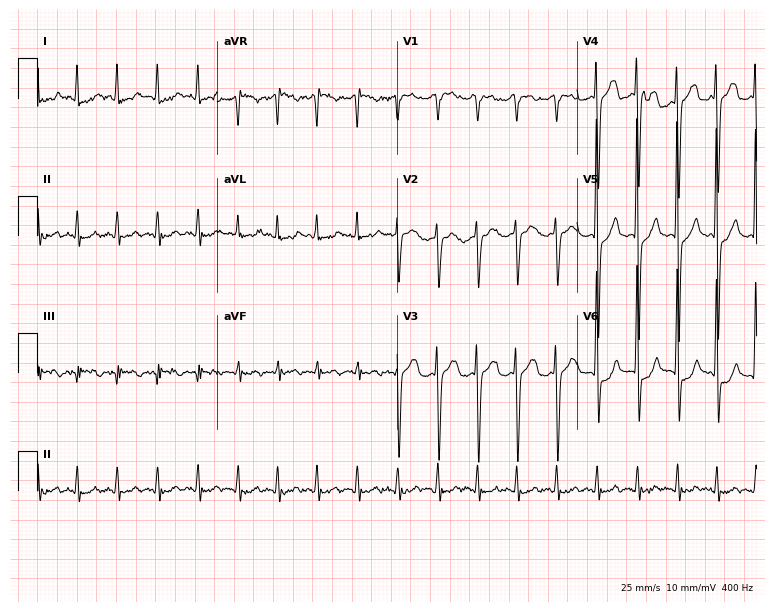
Standard 12-lead ECG recorded from a man, 85 years old. The tracing shows sinus tachycardia (a sinus rate of 100 beats per minute or more).